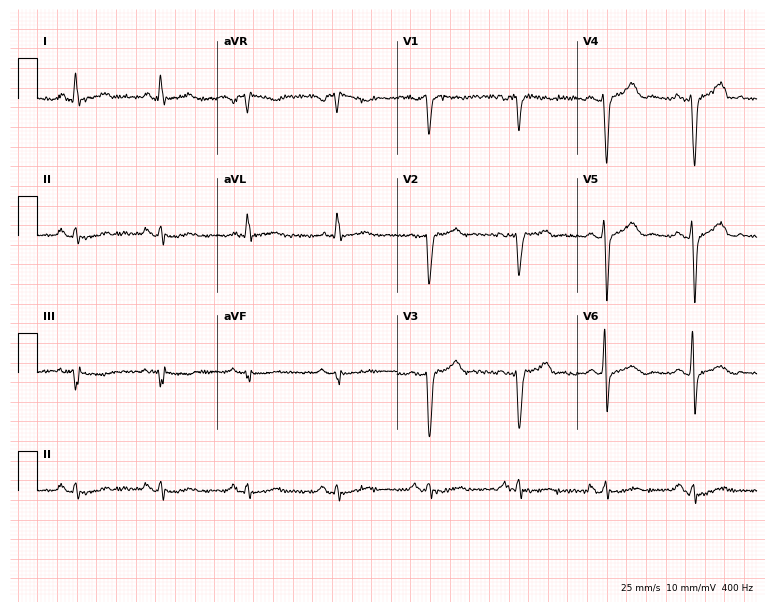
12-lead ECG (7.3-second recording at 400 Hz) from a man, 51 years old. Screened for six findings — first-degree AV block, right bundle branch block, left bundle branch block, sinus bradycardia, atrial fibrillation, sinus tachycardia — none is recorded. Findings outside these six are not listed.